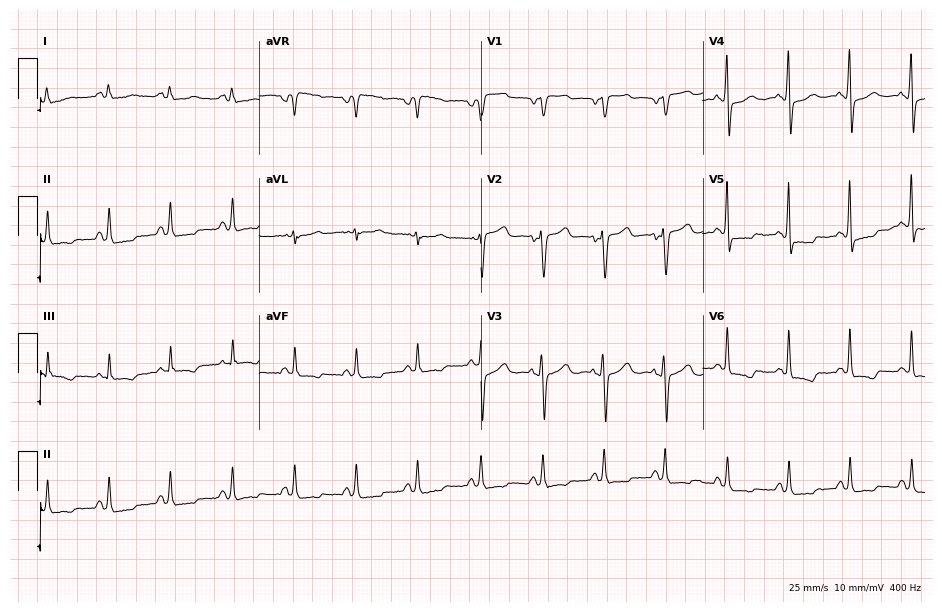
Resting 12-lead electrocardiogram (9-second recording at 400 Hz). Patient: a female, 59 years old. None of these six findings is recorded: first-degree AV block, right bundle branch block (RBBB), left bundle branch block (LBBB), sinus bradycardia, atrial fibrillation (AF), sinus tachycardia. Other findings, if any, are not listed.